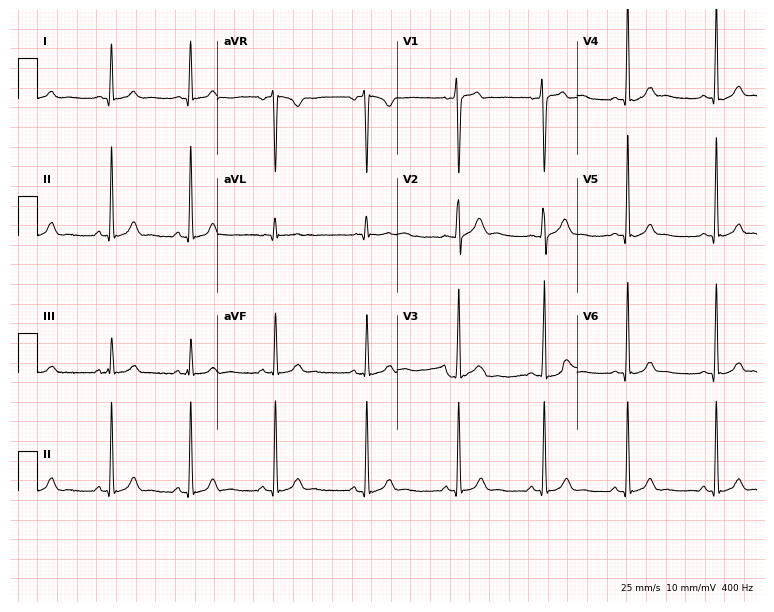
Electrocardiogram, a man, 20 years old. Overall reading on record: normal ECG.